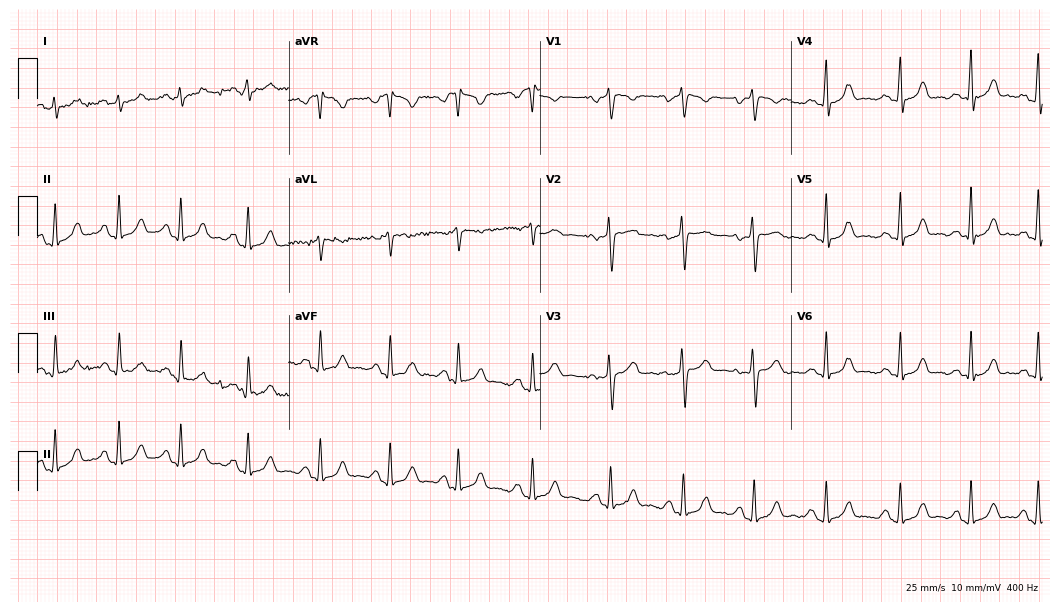
Standard 12-lead ECG recorded from a woman, 33 years old. None of these six findings is recorded: first-degree AV block, right bundle branch block, left bundle branch block, sinus bradycardia, atrial fibrillation, sinus tachycardia.